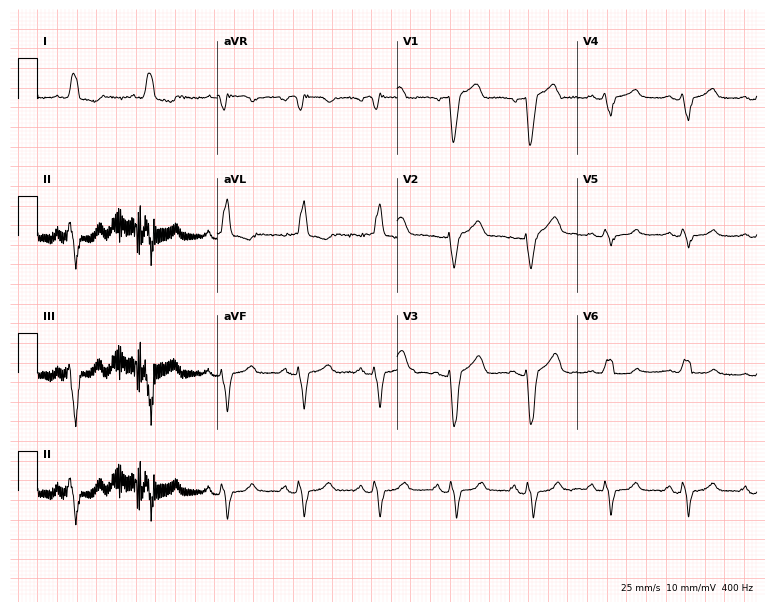
12-lead ECG from a 71-year-old female patient (7.3-second recording at 400 Hz). No first-degree AV block, right bundle branch block (RBBB), left bundle branch block (LBBB), sinus bradycardia, atrial fibrillation (AF) or sinus tachycardia recorded for this tracing. Other findings, if any, are not listed.